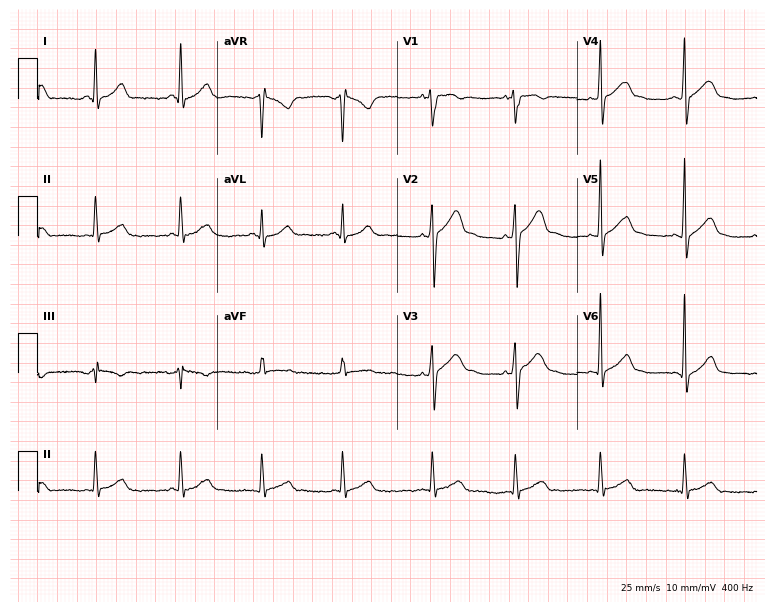
Electrocardiogram, a male patient, 20 years old. Overall reading on record: normal ECG.